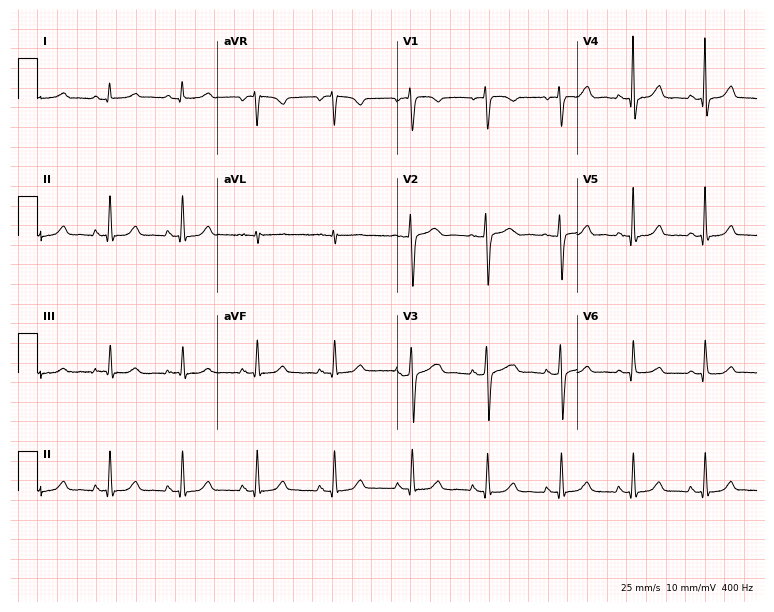
Standard 12-lead ECG recorded from a 33-year-old woman. Read as a normal ECG.